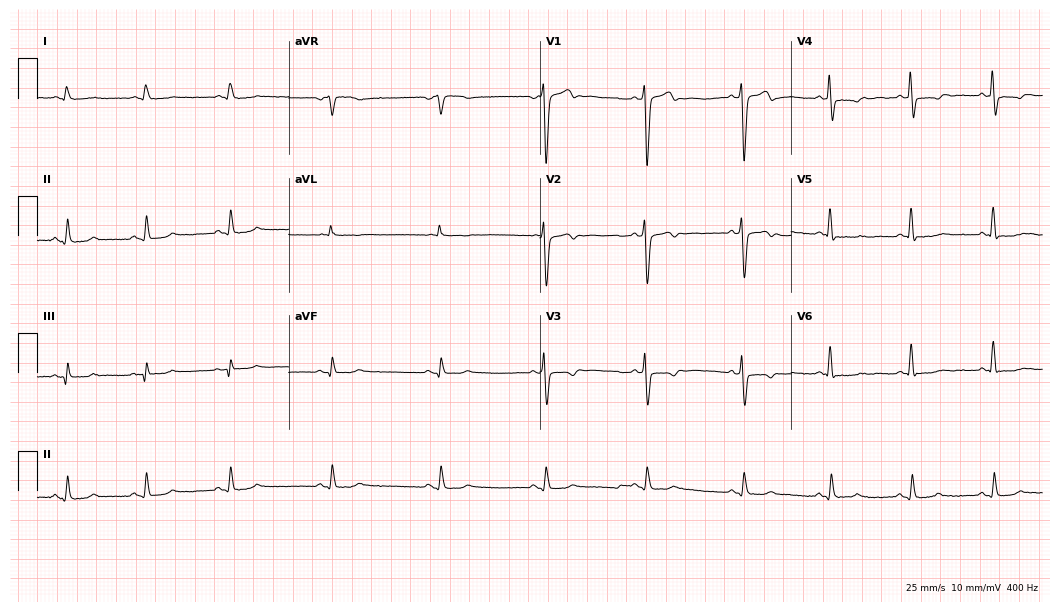
Resting 12-lead electrocardiogram (10.2-second recording at 400 Hz). Patient: a male, 62 years old. None of these six findings is recorded: first-degree AV block, right bundle branch block (RBBB), left bundle branch block (LBBB), sinus bradycardia, atrial fibrillation (AF), sinus tachycardia.